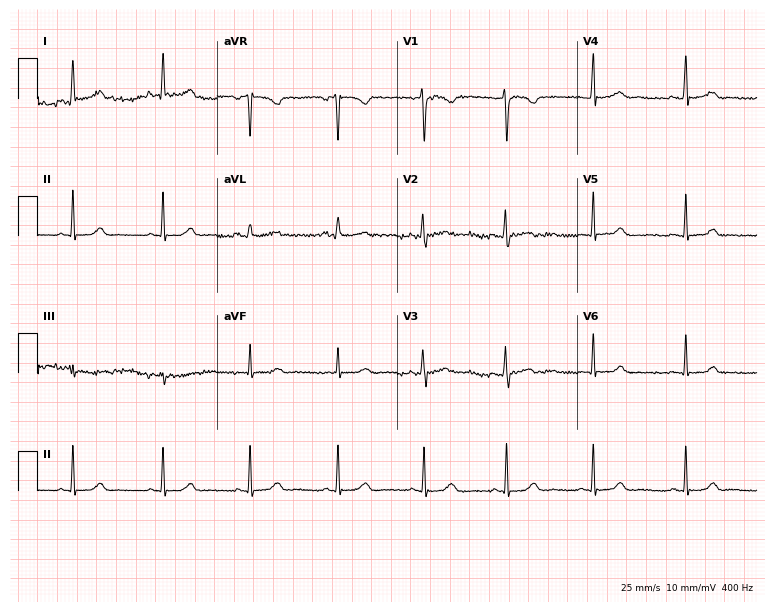
ECG (7.3-second recording at 400 Hz) — a female patient, 18 years old. Labelled as a normal ECG.